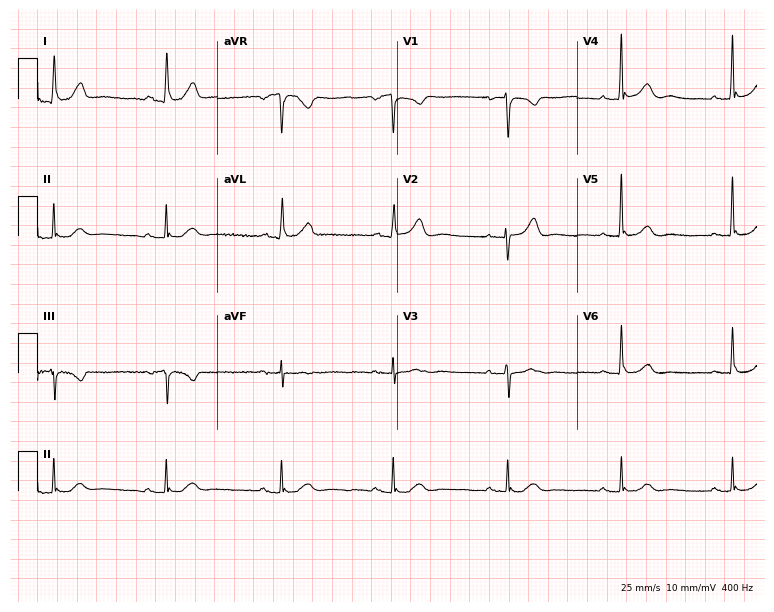
12-lead ECG (7.3-second recording at 400 Hz) from a 62-year-old female. Labelled as a normal ECG.